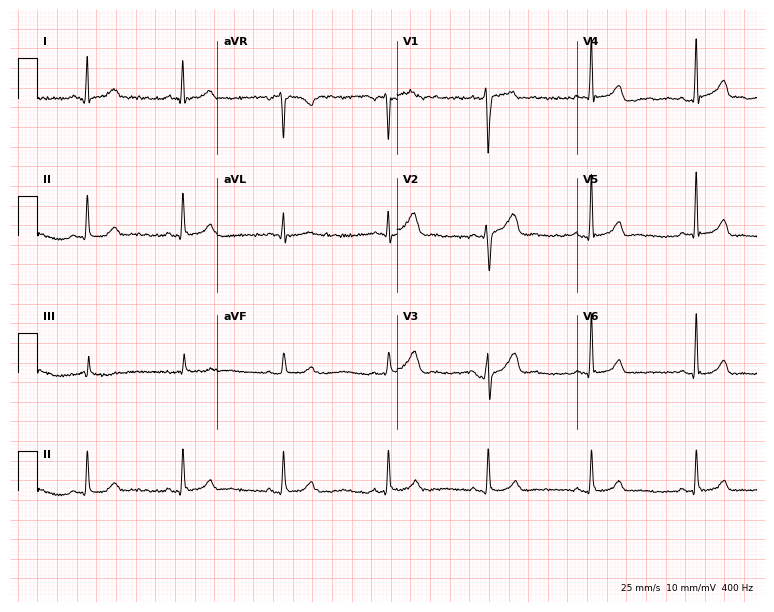
12-lead ECG (7.3-second recording at 400 Hz) from a man, 26 years old. Labelled as a normal ECG.